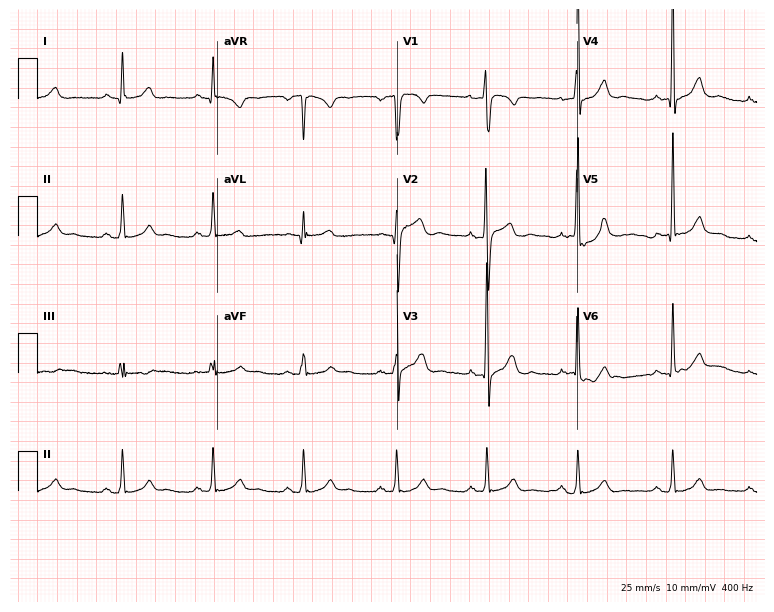
Standard 12-lead ECG recorded from a male patient, 61 years old. Read as a normal ECG.